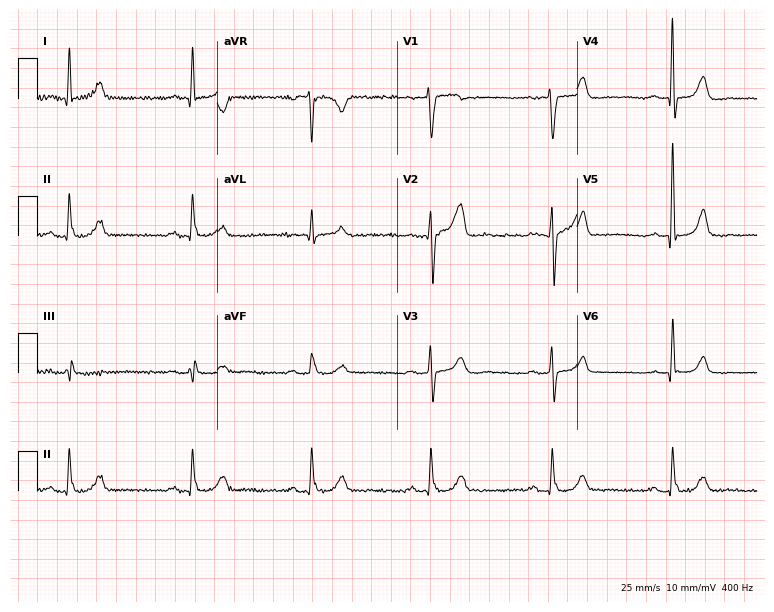
Standard 12-lead ECG recorded from a 74-year-old male. None of these six findings is recorded: first-degree AV block, right bundle branch block (RBBB), left bundle branch block (LBBB), sinus bradycardia, atrial fibrillation (AF), sinus tachycardia. Findings outside these six are not listed.